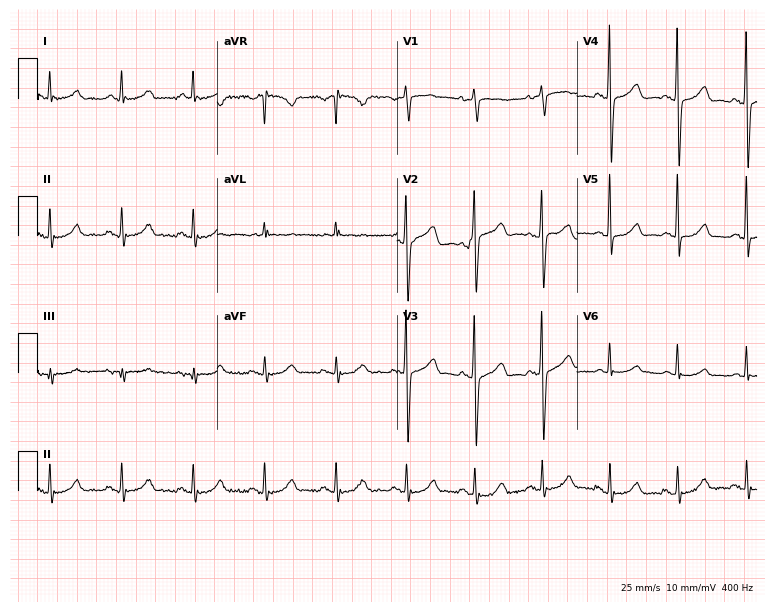
ECG — a 75-year-old woman. Screened for six findings — first-degree AV block, right bundle branch block (RBBB), left bundle branch block (LBBB), sinus bradycardia, atrial fibrillation (AF), sinus tachycardia — none is recorded.